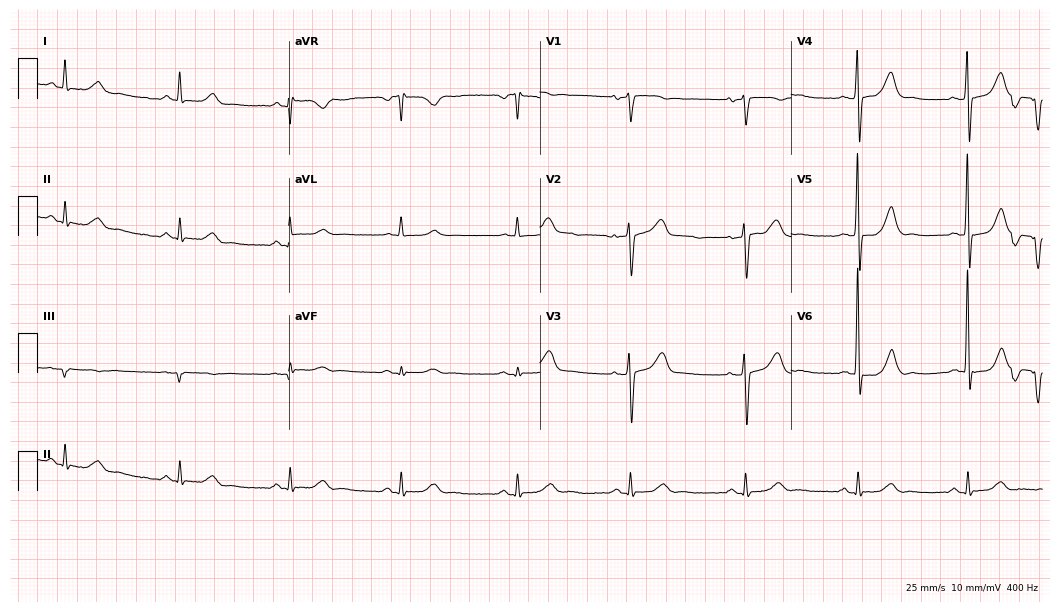
Standard 12-lead ECG recorded from a man, 73 years old (10.2-second recording at 400 Hz). Read as a normal ECG.